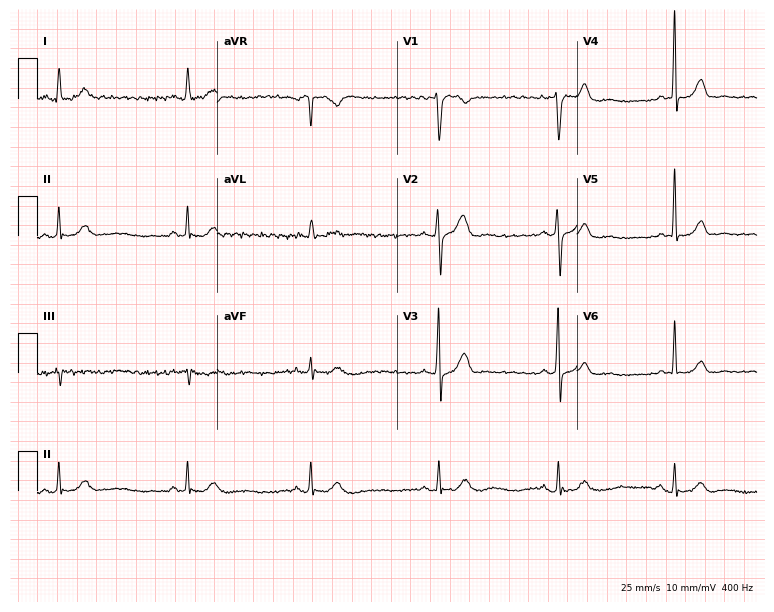
Electrocardiogram, a 41-year-old man. Interpretation includes sinus bradycardia (a sinus rate of 50 beats per minute or less).